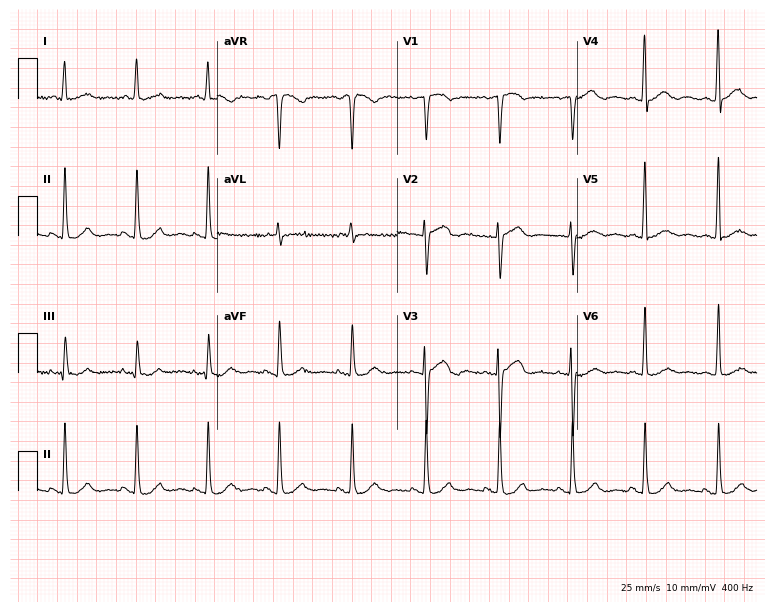
ECG — a 53-year-old female. Labelled as a normal ECG.